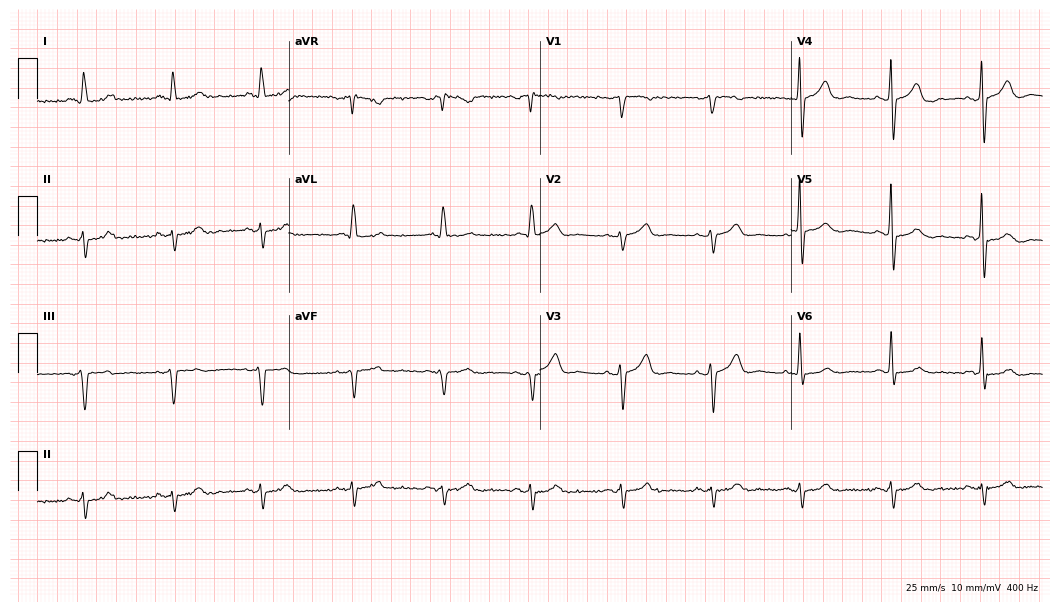
Standard 12-lead ECG recorded from a male patient, 83 years old. None of these six findings is recorded: first-degree AV block, right bundle branch block, left bundle branch block, sinus bradycardia, atrial fibrillation, sinus tachycardia. Findings outside these six are not listed.